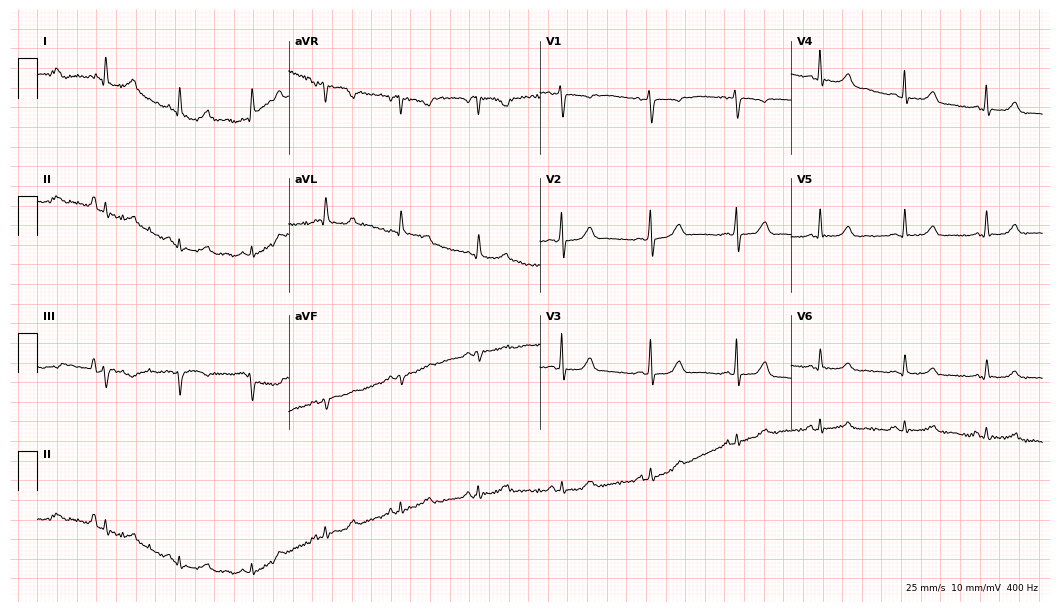
Electrocardiogram, a 52-year-old female patient. Of the six screened findings (first-degree AV block, right bundle branch block, left bundle branch block, sinus bradycardia, atrial fibrillation, sinus tachycardia), none is recorded.